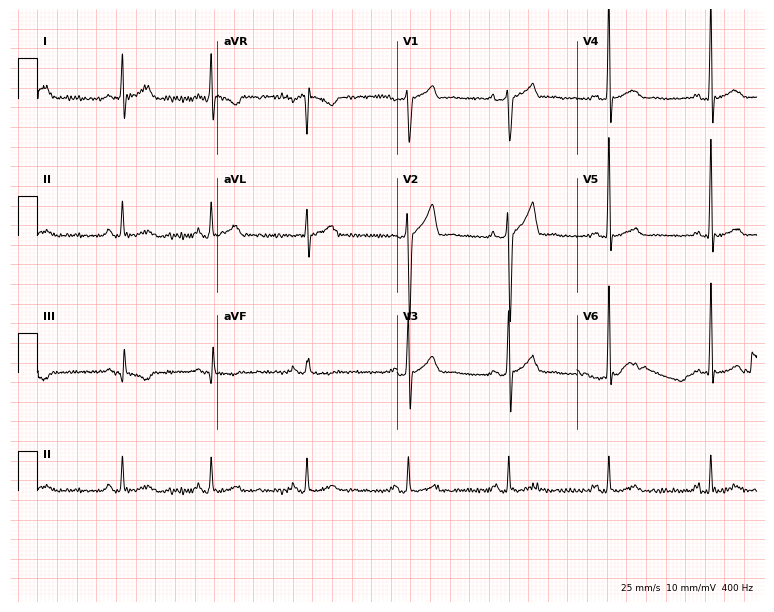
12-lead ECG from a 39-year-old male (7.3-second recording at 400 Hz). Recorded interpretation: within normal limits.